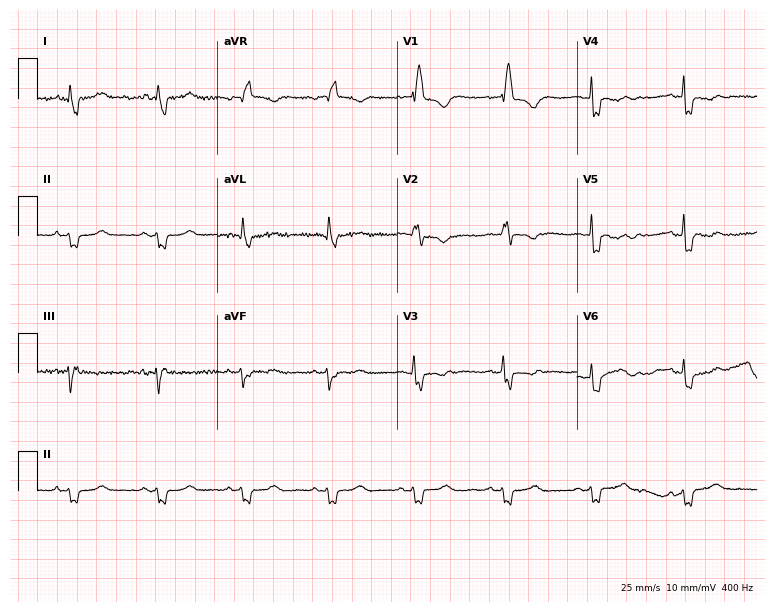
Resting 12-lead electrocardiogram (7.3-second recording at 400 Hz). Patient: a 76-year-old female. The tracing shows right bundle branch block (RBBB).